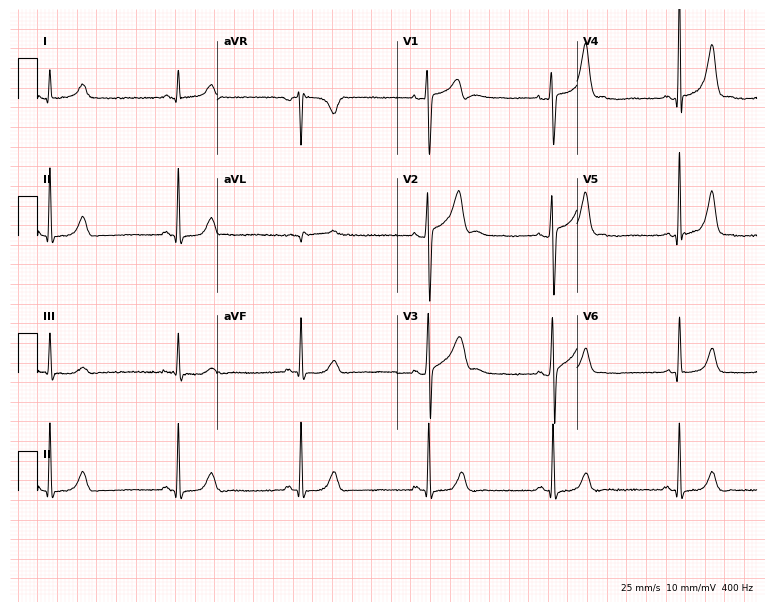
ECG (7.3-second recording at 400 Hz) — a man, 39 years old. Screened for six findings — first-degree AV block, right bundle branch block, left bundle branch block, sinus bradycardia, atrial fibrillation, sinus tachycardia — none is recorded. Findings outside these six are not listed.